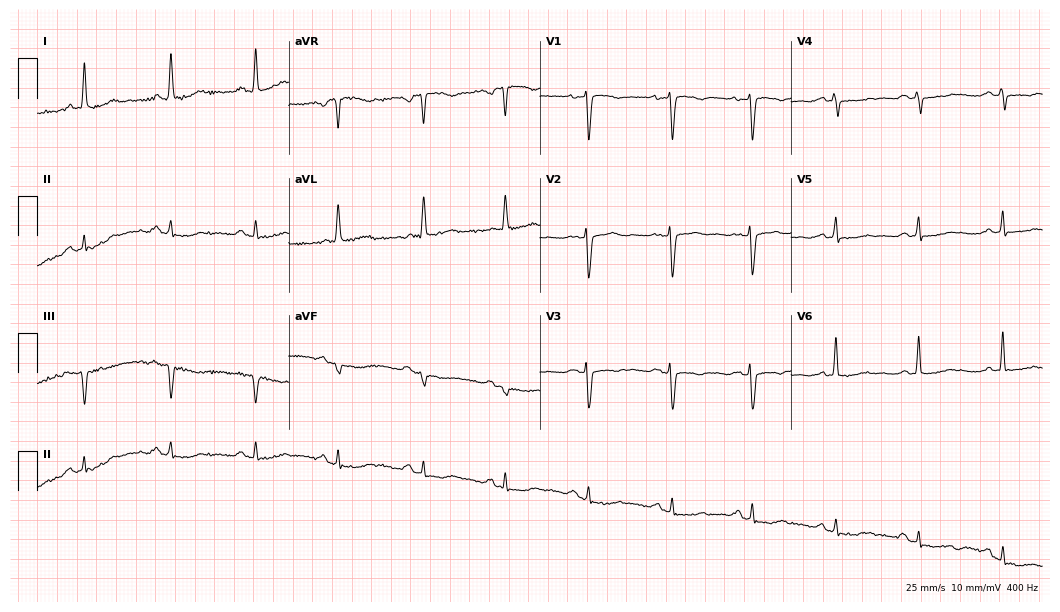
12-lead ECG from a 59-year-old female patient (10.2-second recording at 400 Hz). No first-degree AV block, right bundle branch block, left bundle branch block, sinus bradycardia, atrial fibrillation or sinus tachycardia recorded for this tracing.